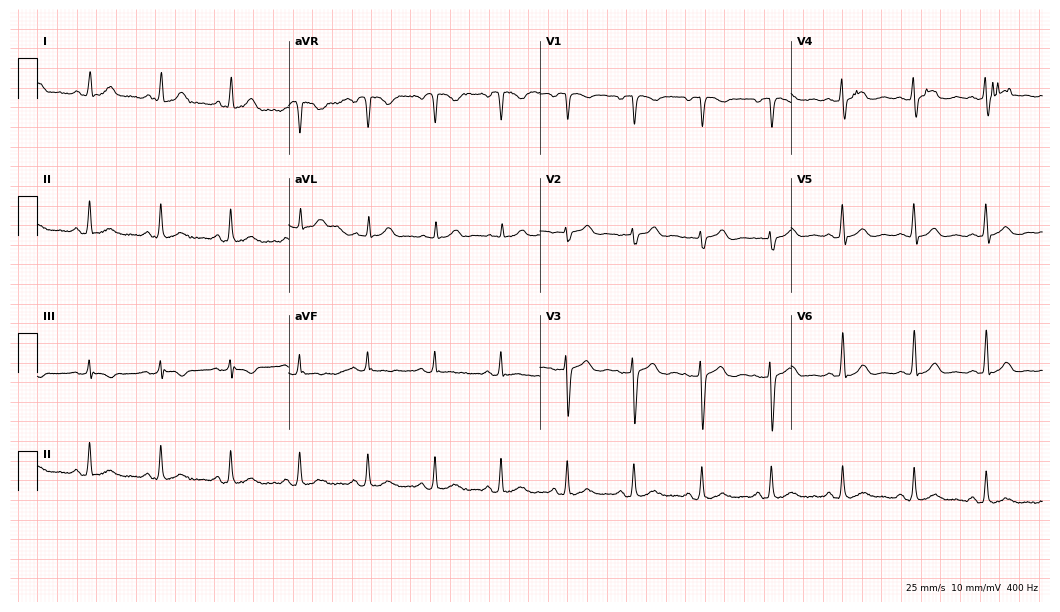
Resting 12-lead electrocardiogram (10.2-second recording at 400 Hz). Patient: a 42-year-old woman. Read as a normal ECG.